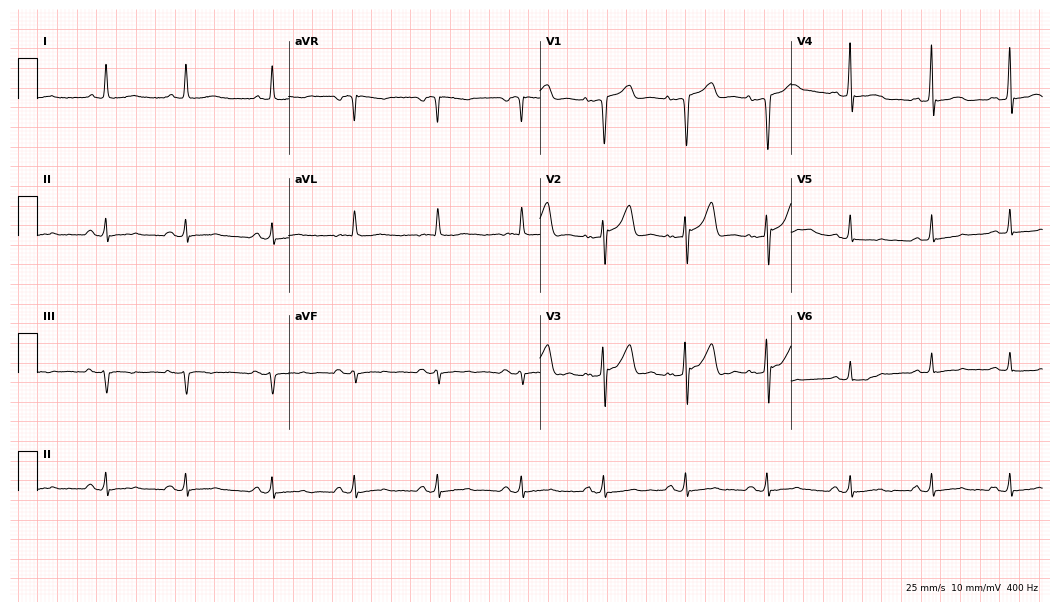
12-lead ECG (10.2-second recording at 400 Hz) from a female patient, 82 years old. Screened for six findings — first-degree AV block, right bundle branch block (RBBB), left bundle branch block (LBBB), sinus bradycardia, atrial fibrillation (AF), sinus tachycardia — none is recorded. Other findings, if any, are not listed.